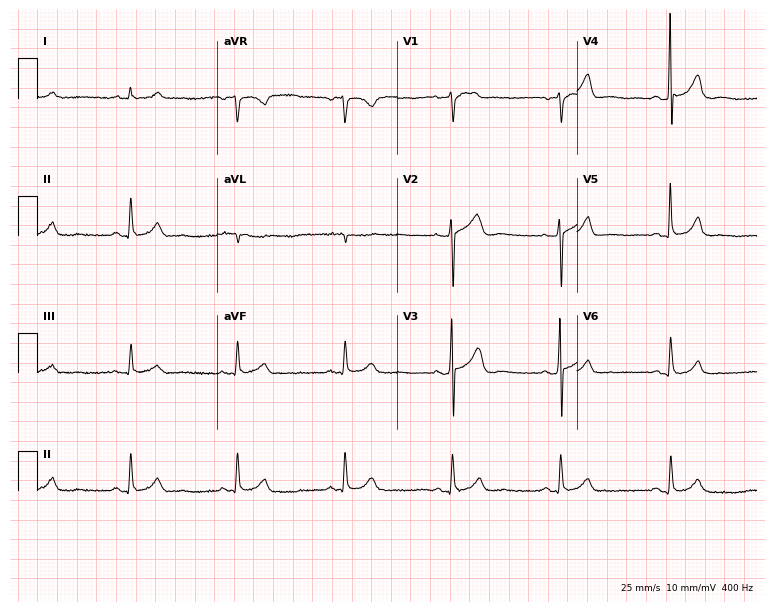
12-lead ECG from a 67-year-old man. No first-degree AV block, right bundle branch block, left bundle branch block, sinus bradycardia, atrial fibrillation or sinus tachycardia recorded for this tracing.